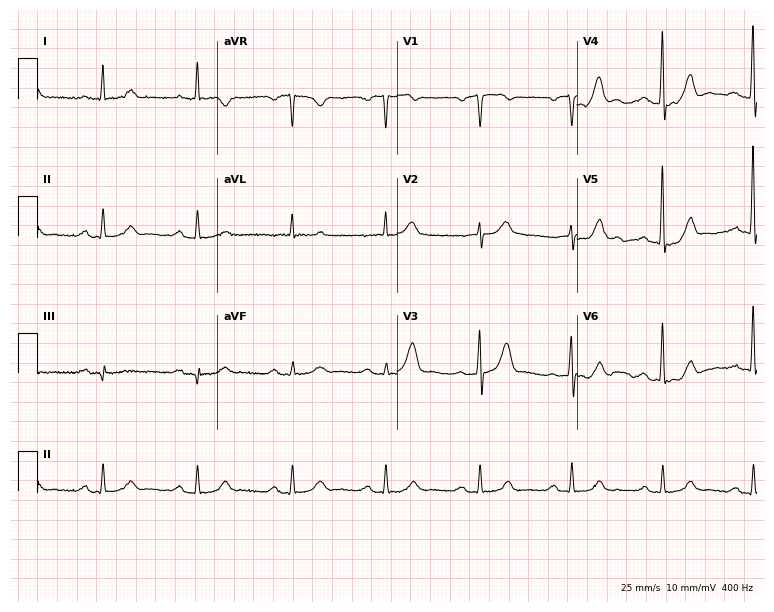
Standard 12-lead ECG recorded from a 68-year-old male. The tracing shows first-degree AV block.